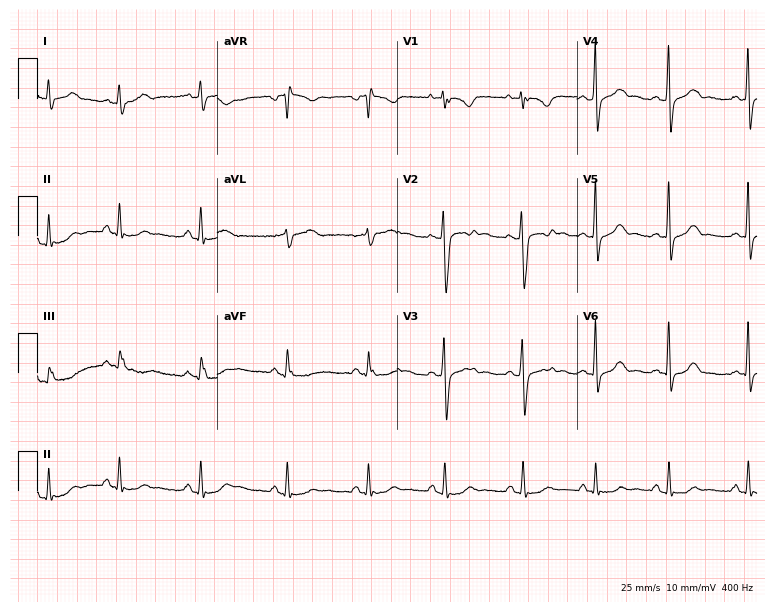
12-lead ECG from a female patient, 22 years old. Recorded interpretation: within normal limits.